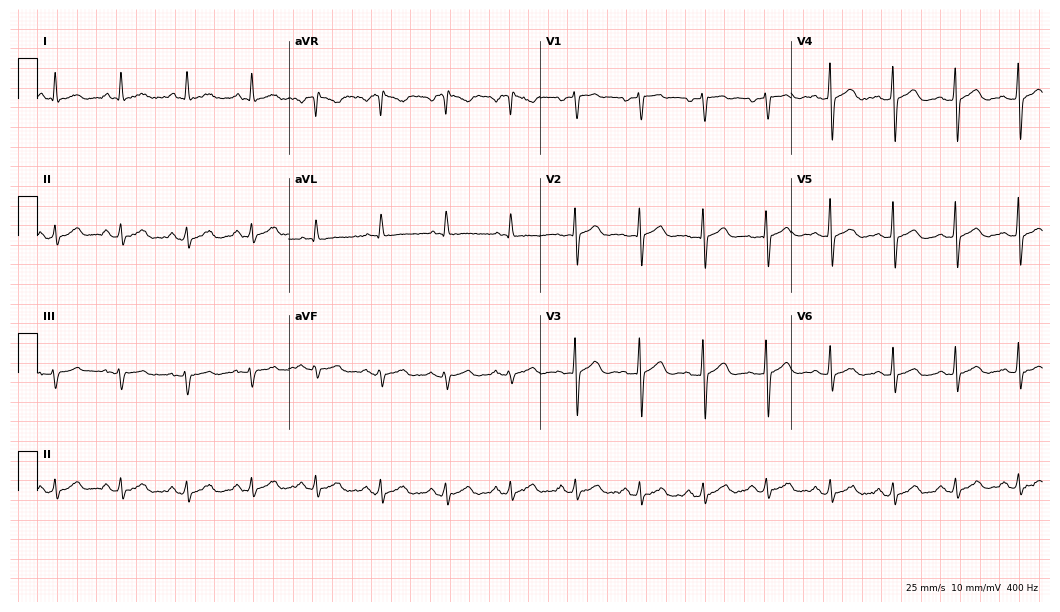
ECG (10.2-second recording at 400 Hz) — a 63-year-old male. Labelled as a normal ECG.